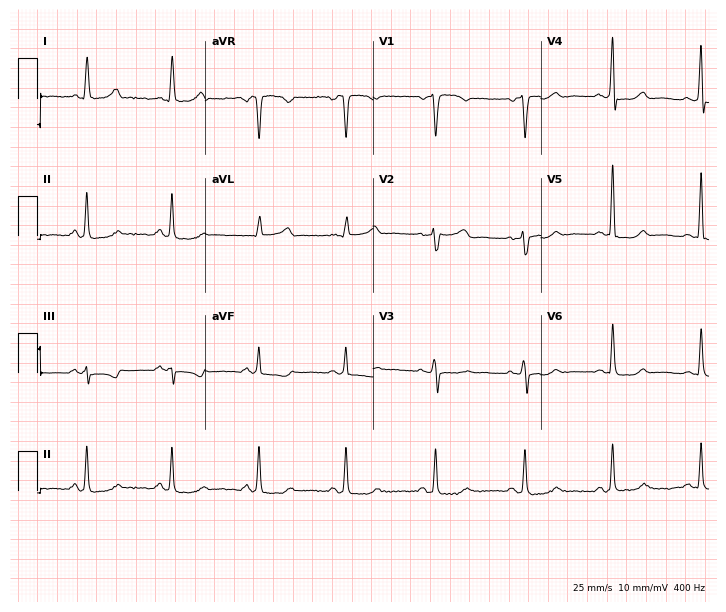
Standard 12-lead ECG recorded from a woman, 53 years old (6.8-second recording at 400 Hz). None of these six findings is recorded: first-degree AV block, right bundle branch block, left bundle branch block, sinus bradycardia, atrial fibrillation, sinus tachycardia. Findings outside these six are not listed.